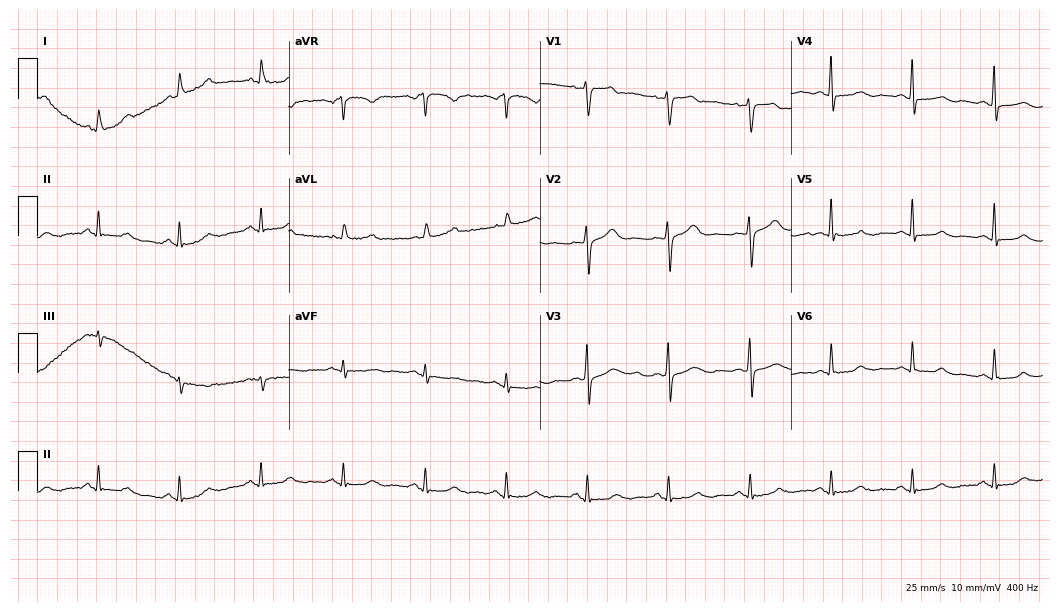
Standard 12-lead ECG recorded from a 66-year-old female (10.2-second recording at 400 Hz). None of these six findings is recorded: first-degree AV block, right bundle branch block (RBBB), left bundle branch block (LBBB), sinus bradycardia, atrial fibrillation (AF), sinus tachycardia. Only these six findings were labelled.